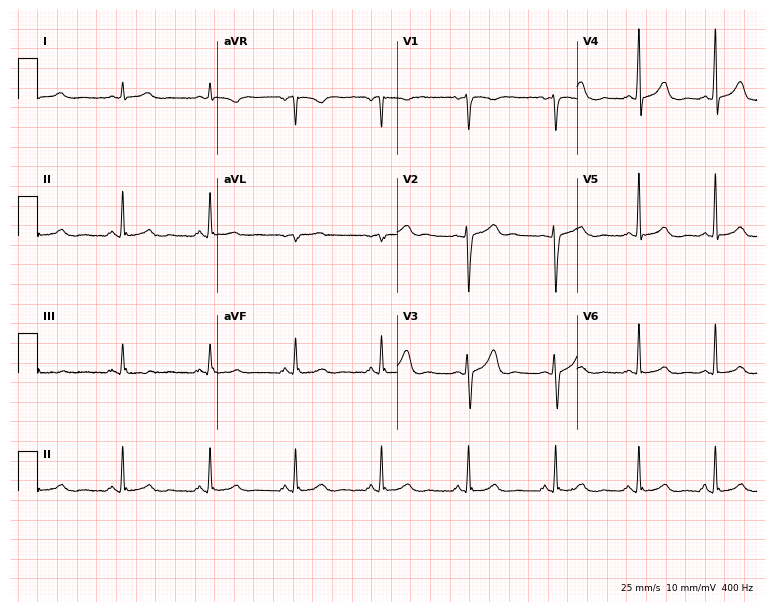
Resting 12-lead electrocardiogram. Patient: a 46-year-old female. None of these six findings is recorded: first-degree AV block, right bundle branch block (RBBB), left bundle branch block (LBBB), sinus bradycardia, atrial fibrillation (AF), sinus tachycardia.